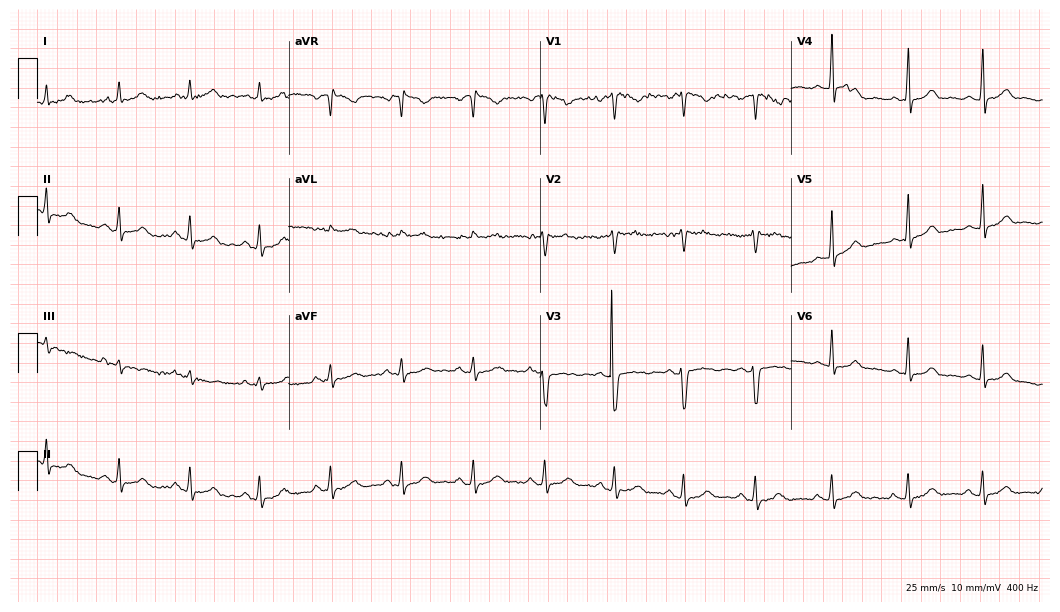
Electrocardiogram, a 41-year-old female patient. Of the six screened findings (first-degree AV block, right bundle branch block (RBBB), left bundle branch block (LBBB), sinus bradycardia, atrial fibrillation (AF), sinus tachycardia), none is recorded.